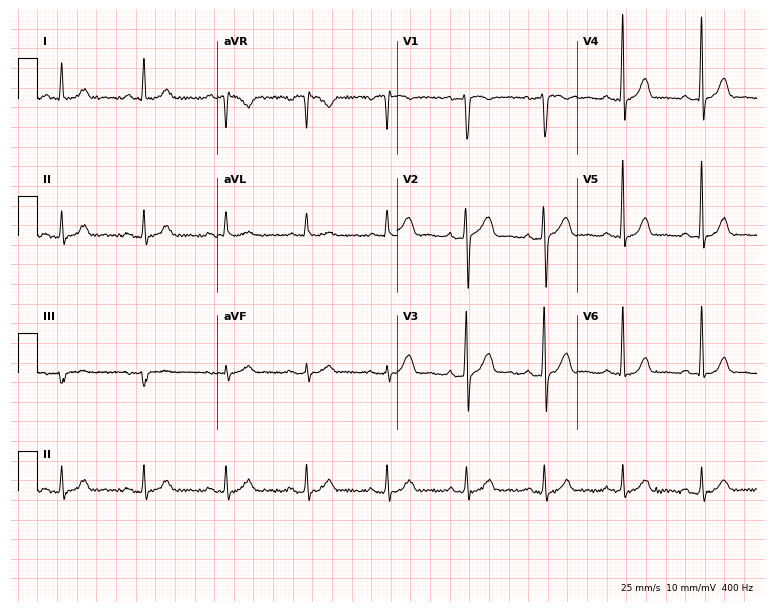
Standard 12-lead ECG recorded from a 52-year-old male. None of these six findings is recorded: first-degree AV block, right bundle branch block (RBBB), left bundle branch block (LBBB), sinus bradycardia, atrial fibrillation (AF), sinus tachycardia. Findings outside these six are not listed.